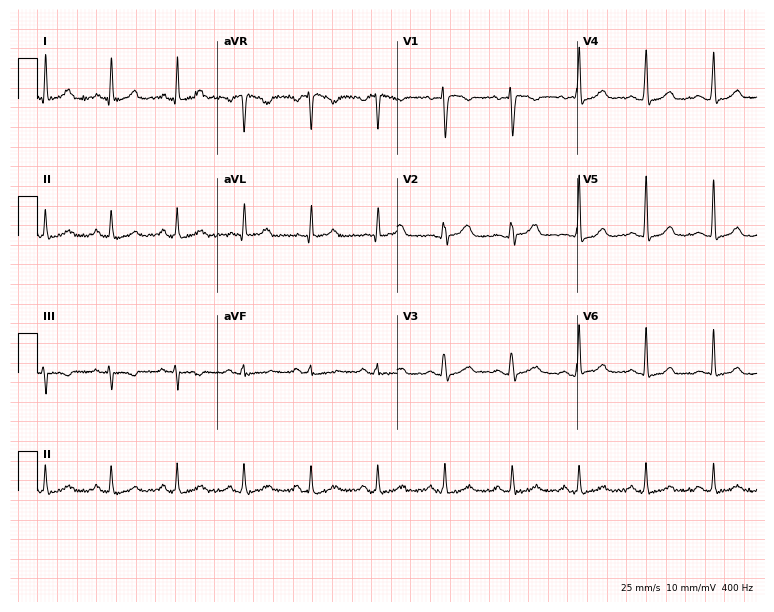
12-lead ECG (7.3-second recording at 400 Hz) from a 48-year-old female. Labelled as a normal ECG.